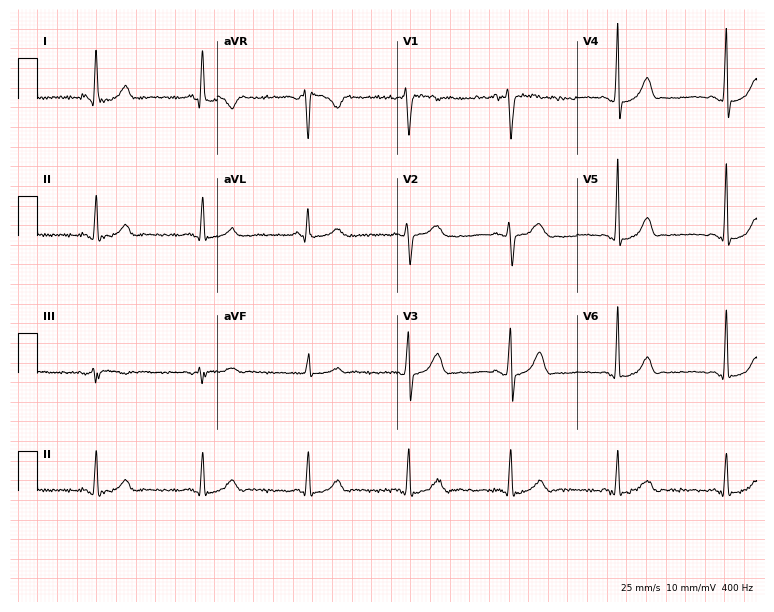
Resting 12-lead electrocardiogram (7.3-second recording at 400 Hz). Patient: a female, 29 years old. Read as a normal ECG.